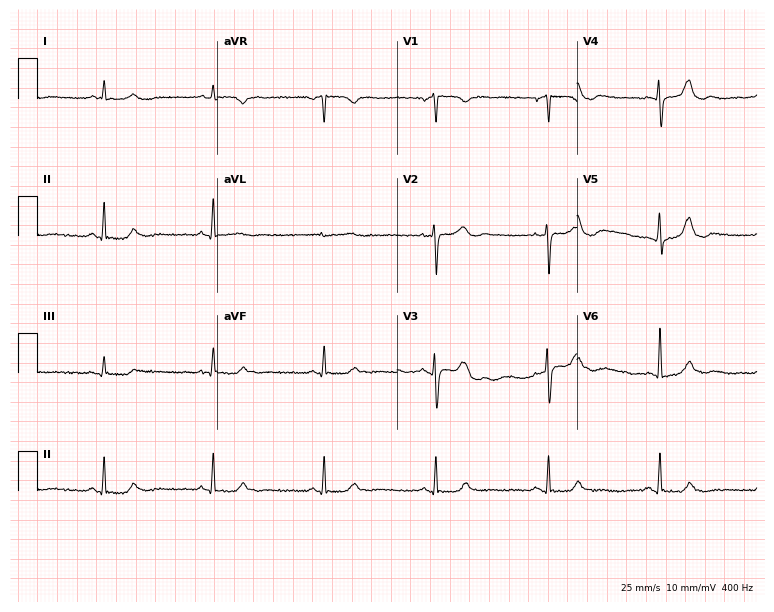
Standard 12-lead ECG recorded from a woman, 77 years old. None of these six findings is recorded: first-degree AV block, right bundle branch block, left bundle branch block, sinus bradycardia, atrial fibrillation, sinus tachycardia.